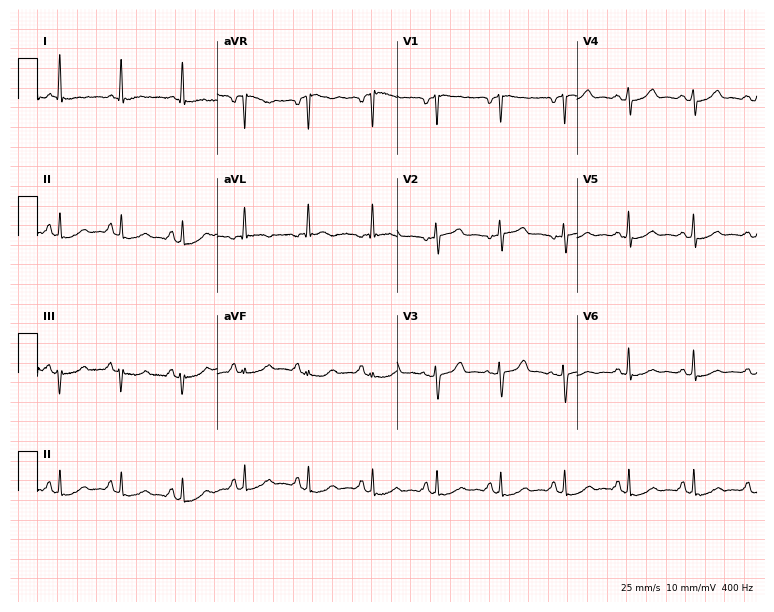
Resting 12-lead electrocardiogram. Patient: a female, 52 years old. None of these six findings is recorded: first-degree AV block, right bundle branch block, left bundle branch block, sinus bradycardia, atrial fibrillation, sinus tachycardia. Other findings, if any, are not listed.